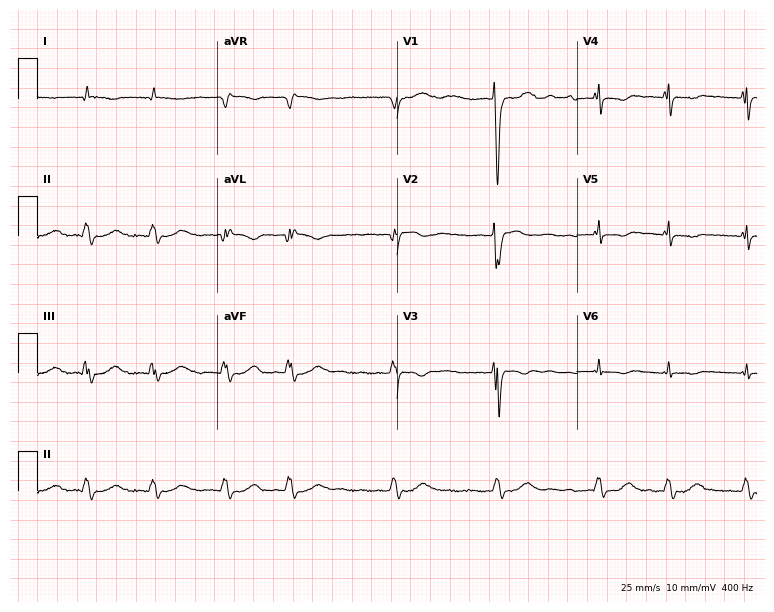
Resting 12-lead electrocardiogram (7.3-second recording at 400 Hz). Patient: a man, 62 years old. The tracing shows atrial fibrillation.